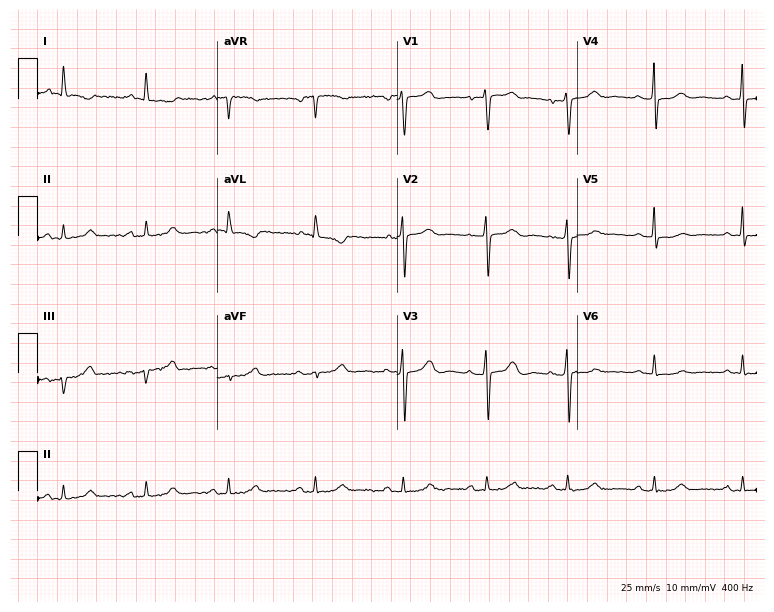
Standard 12-lead ECG recorded from a 53-year-old female patient (7.3-second recording at 400 Hz). None of these six findings is recorded: first-degree AV block, right bundle branch block, left bundle branch block, sinus bradycardia, atrial fibrillation, sinus tachycardia. Other findings, if any, are not listed.